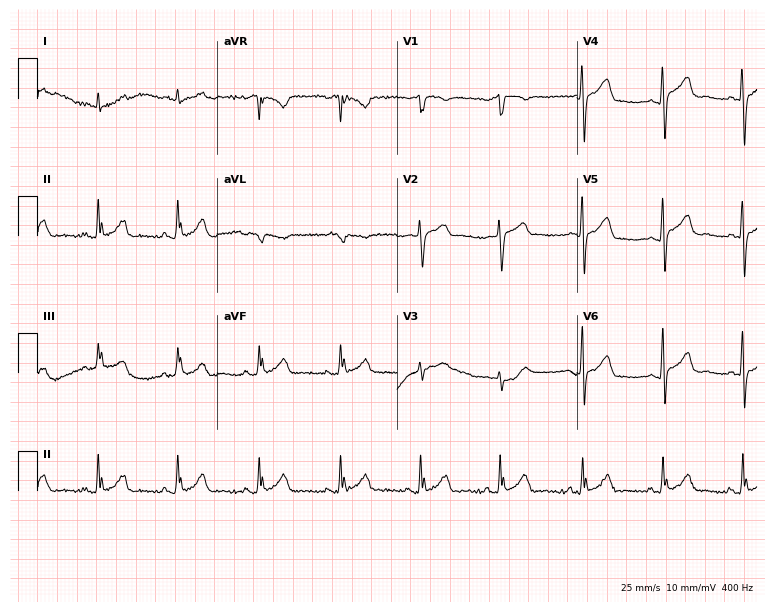
Standard 12-lead ECG recorded from a 68-year-old man. Read as a normal ECG.